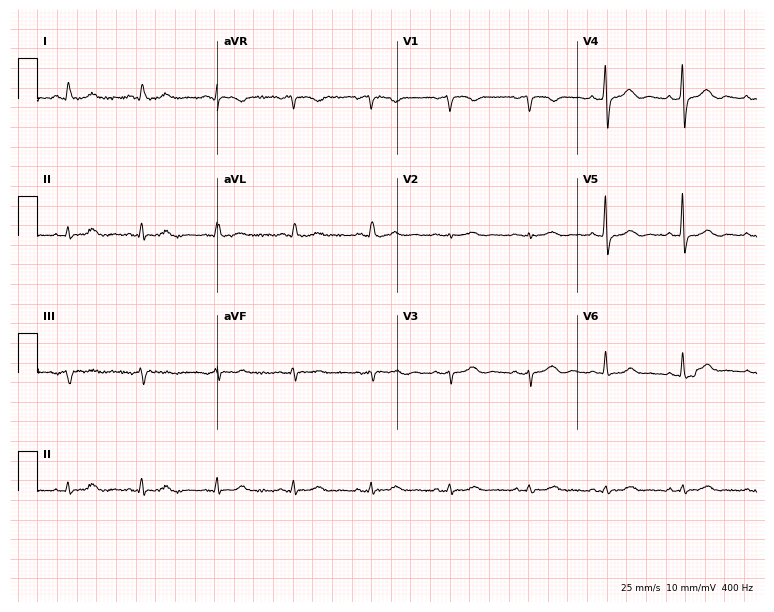
12-lead ECG from a 65-year-old woman. Recorded interpretation: within normal limits.